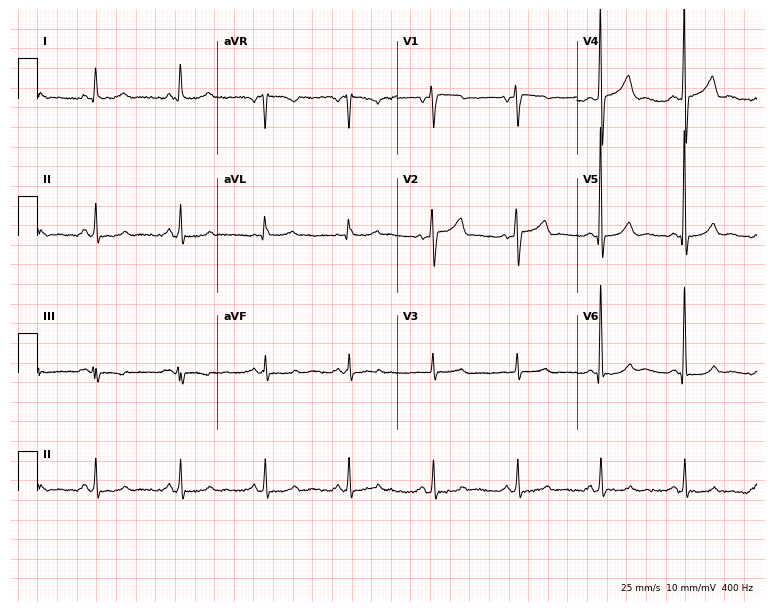
12-lead ECG from a man, 53 years old. No first-degree AV block, right bundle branch block, left bundle branch block, sinus bradycardia, atrial fibrillation or sinus tachycardia recorded for this tracing.